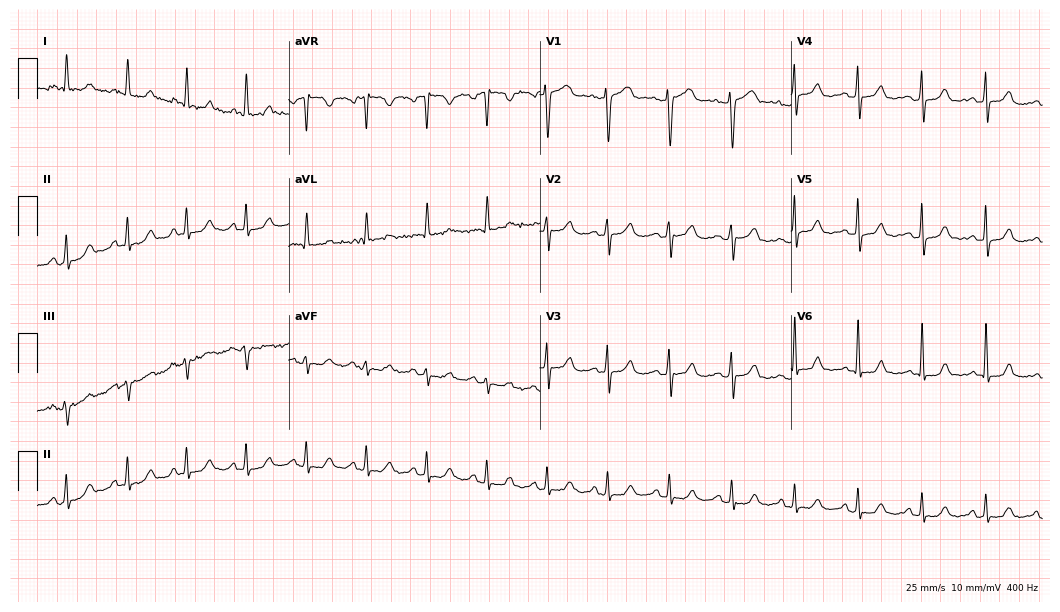
ECG (10.2-second recording at 400 Hz) — a female patient, 56 years old. Labelled as a normal ECG.